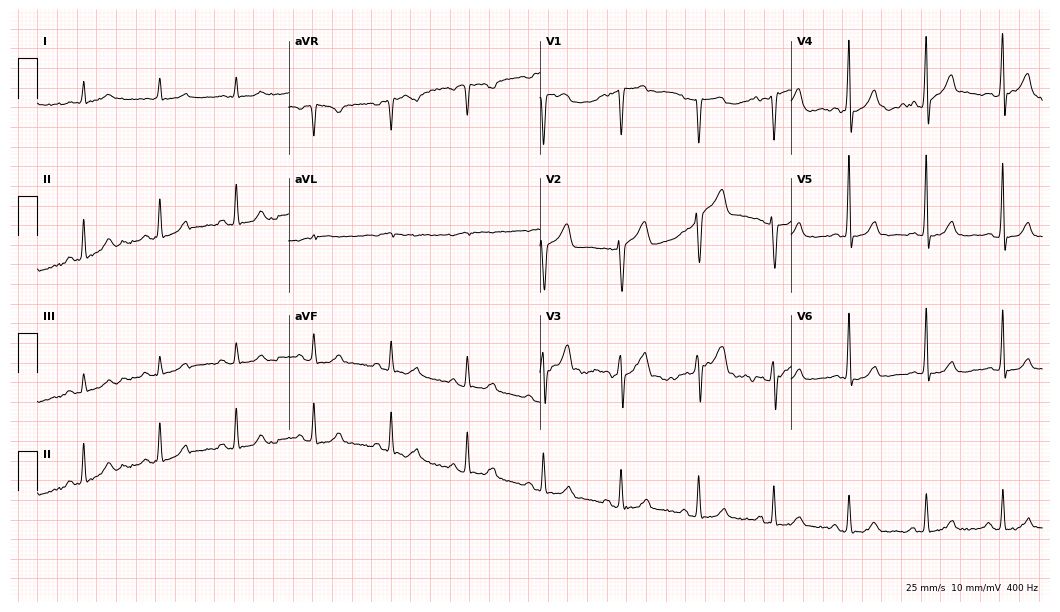
Electrocardiogram (10.2-second recording at 400 Hz), a 63-year-old man. Overall reading on record: normal ECG.